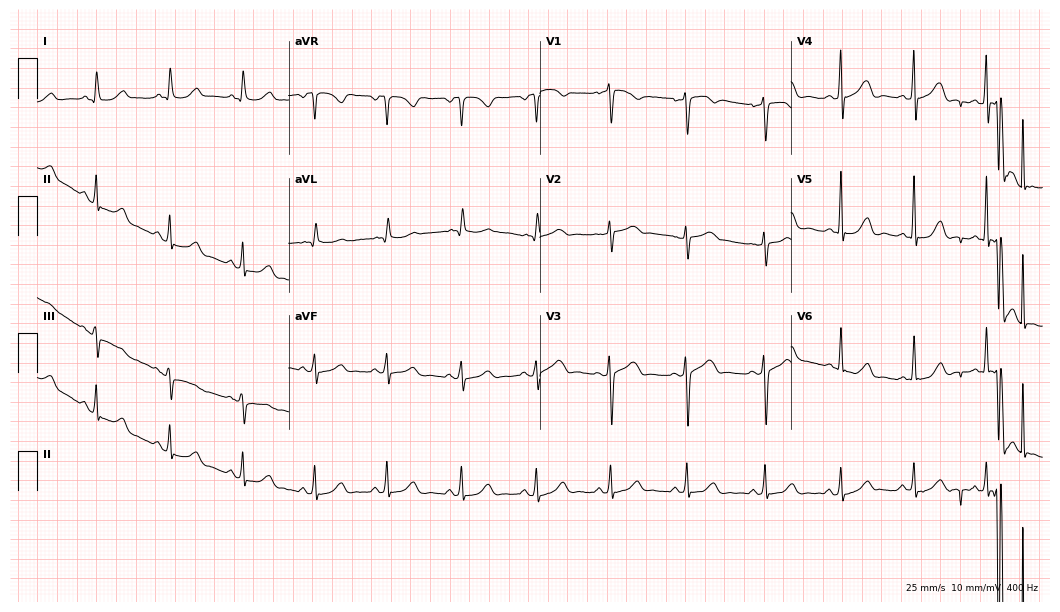
ECG (10.2-second recording at 400 Hz) — a 54-year-old woman. Labelled as a normal ECG.